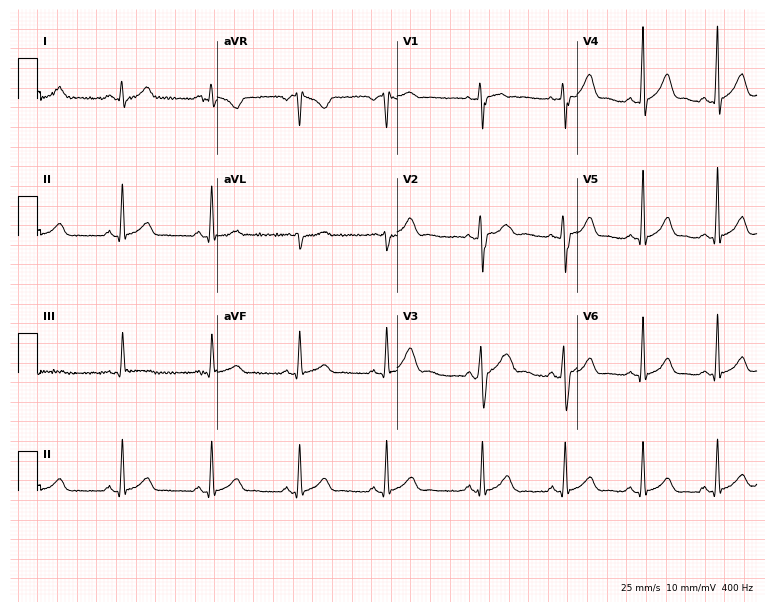
12-lead ECG from a 21-year-old male patient (7.3-second recording at 400 Hz). Recorded interpretation: within normal limits.